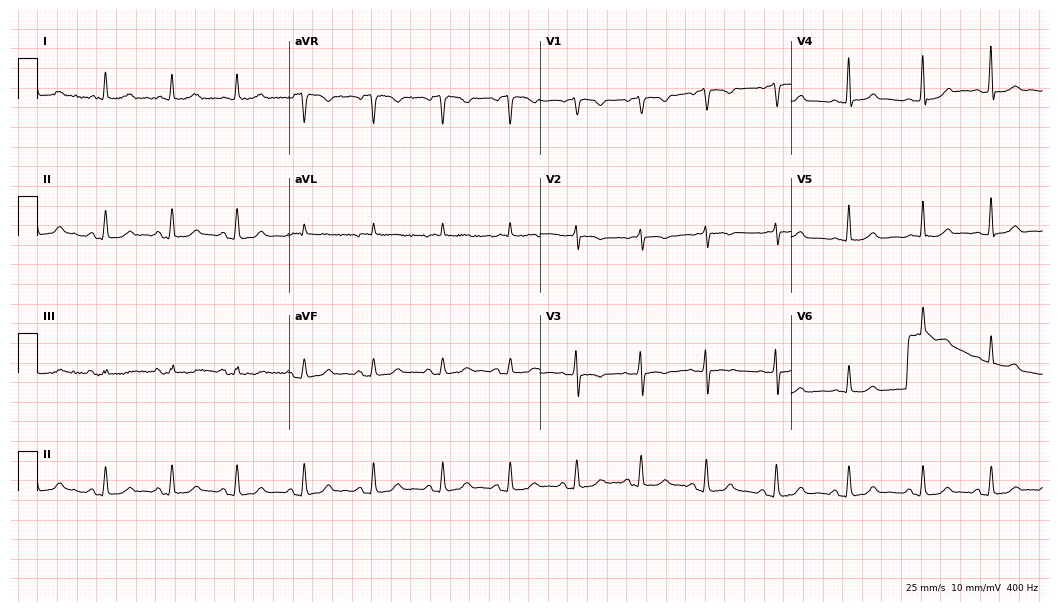
Electrocardiogram, a woman, 64 years old. Of the six screened findings (first-degree AV block, right bundle branch block (RBBB), left bundle branch block (LBBB), sinus bradycardia, atrial fibrillation (AF), sinus tachycardia), none is recorded. Only these six findings were labelled.